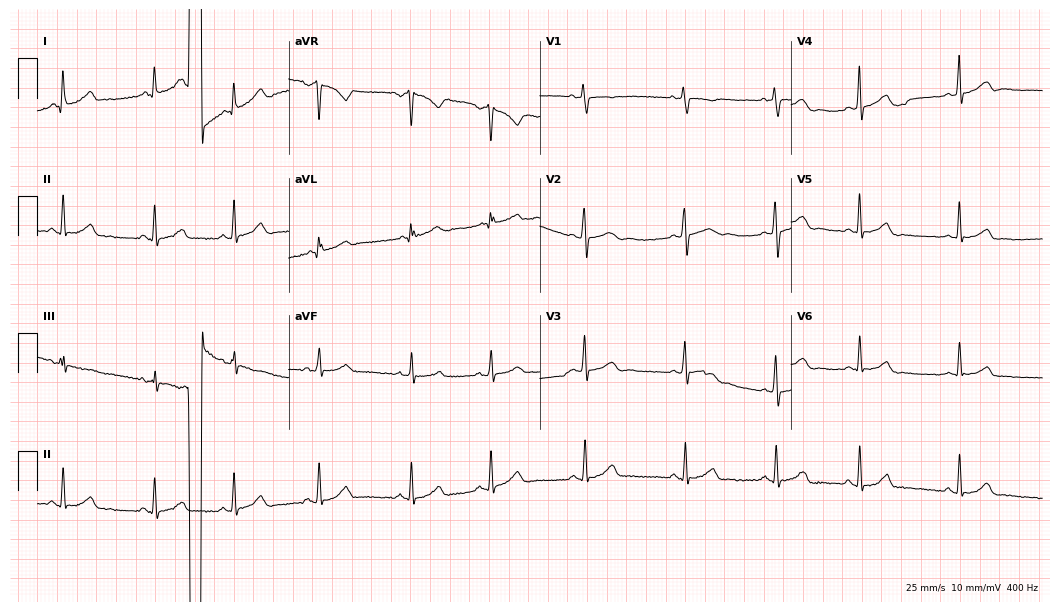
ECG — a 29-year-old woman. Screened for six findings — first-degree AV block, right bundle branch block, left bundle branch block, sinus bradycardia, atrial fibrillation, sinus tachycardia — none is recorded.